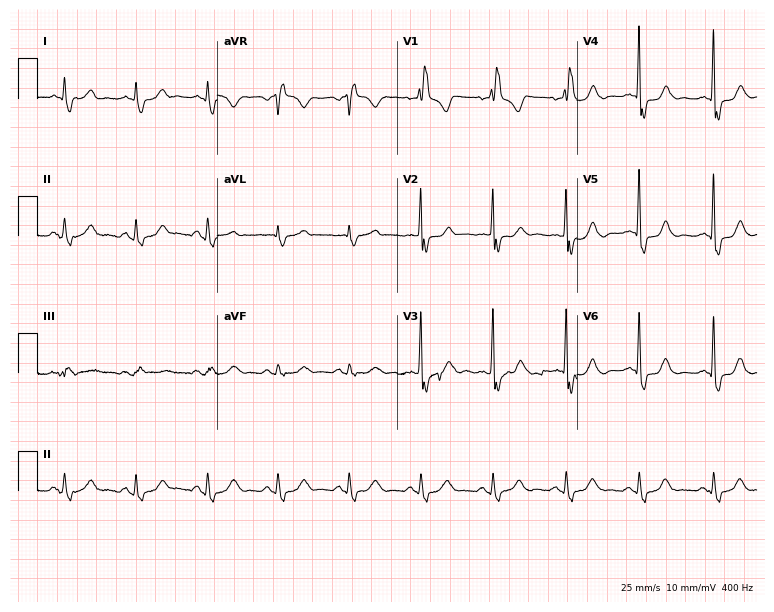
Electrocardiogram (7.3-second recording at 400 Hz), a male patient, 71 years old. Interpretation includes right bundle branch block.